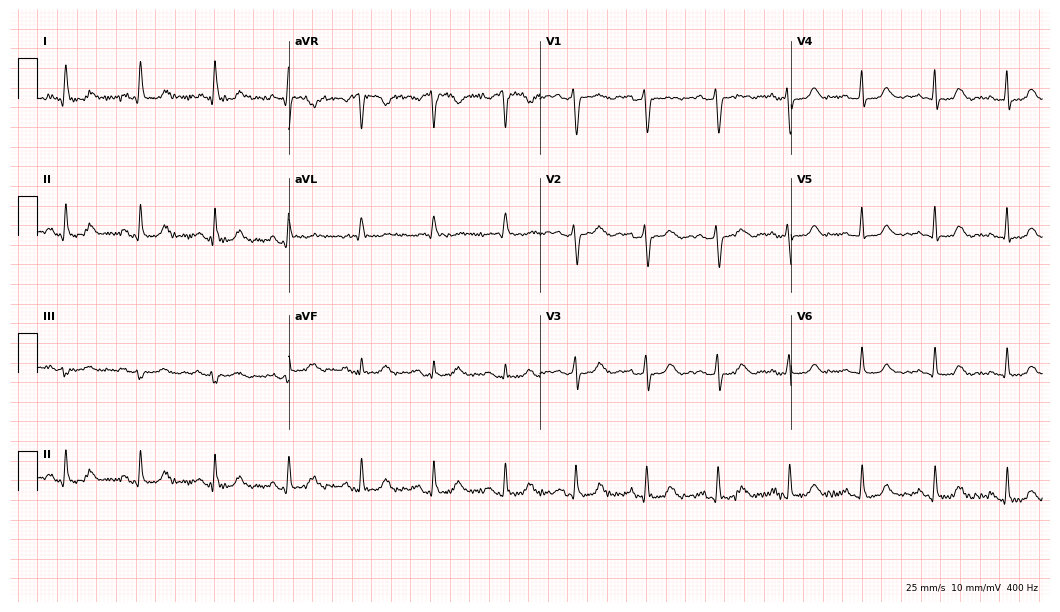
ECG — a woman, 61 years old. Labelled as a normal ECG.